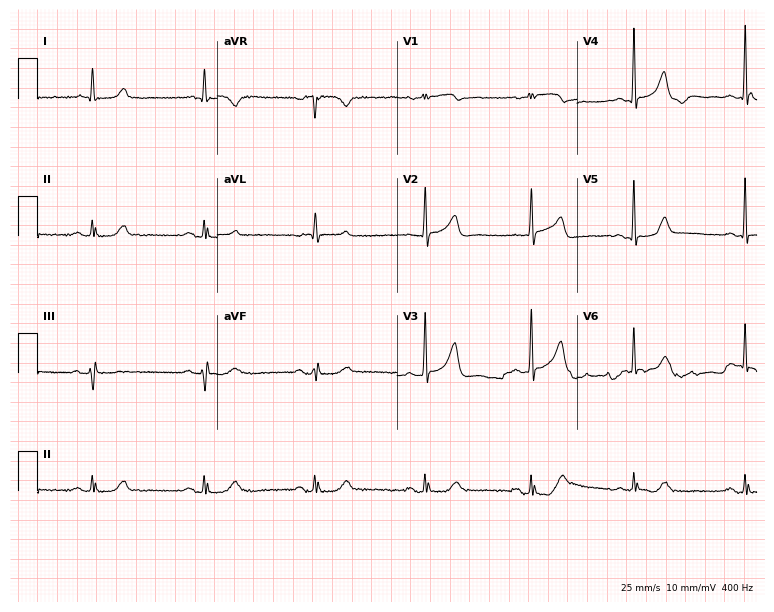
12-lead ECG from a male patient, 81 years old (7.3-second recording at 400 Hz). Recorded interpretation: within normal limits.